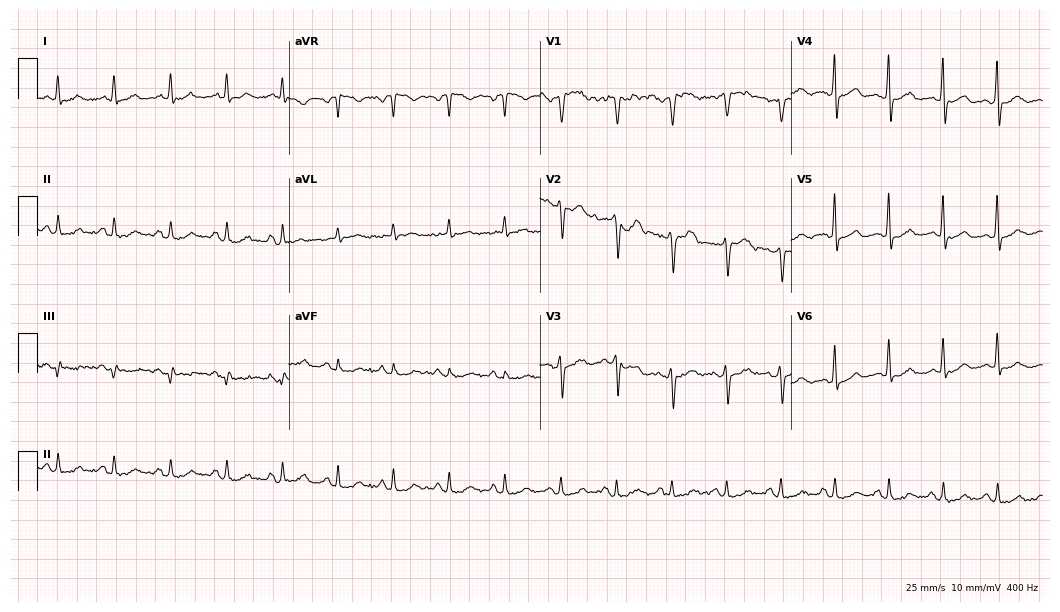
Electrocardiogram, a 53-year-old man. Of the six screened findings (first-degree AV block, right bundle branch block, left bundle branch block, sinus bradycardia, atrial fibrillation, sinus tachycardia), none is recorded.